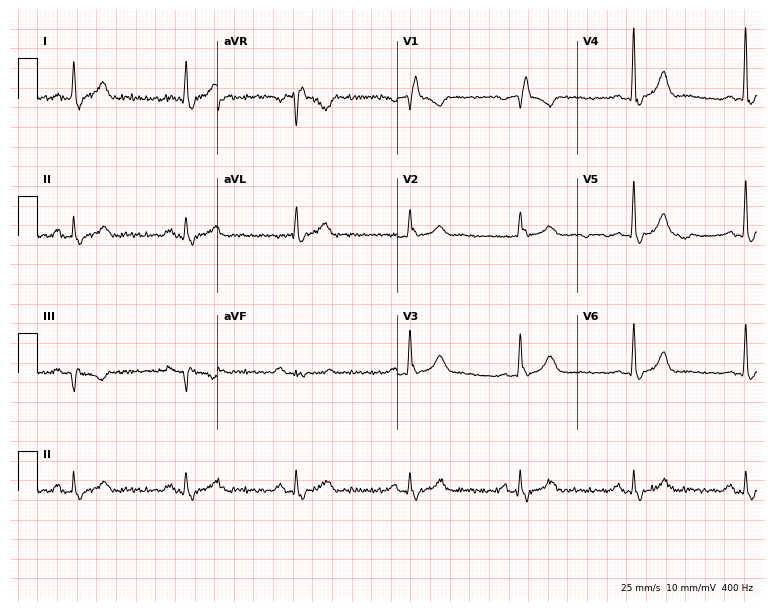
12-lead ECG from a female, 69 years old. Findings include right bundle branch block (RBBB).